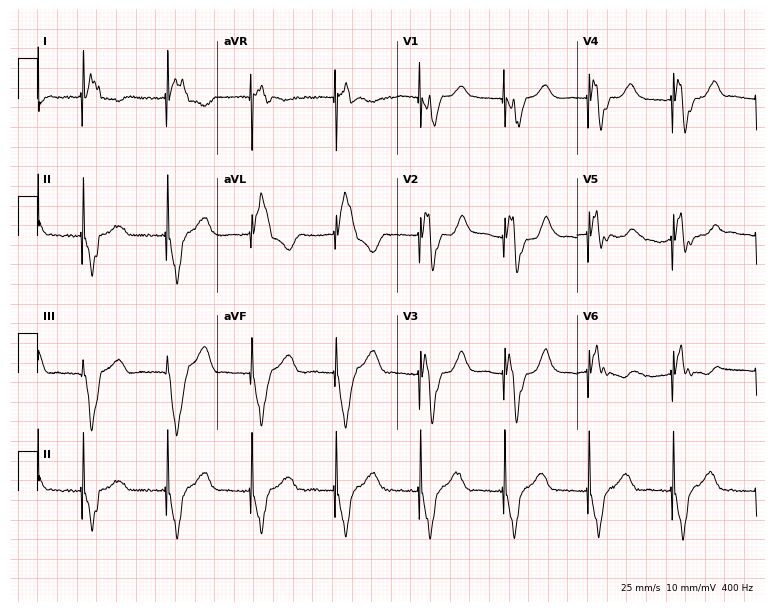
12-lead ECG from a 53-year-old male patient. Screened for six findings — first-degree AV block, right bundle branch block (RBBB), left bundle branch block (LBBB), sinus bradycardia, atrial fibrillation (AF), sinus tachycardia — none is recorded. Only these six findings were labelled.